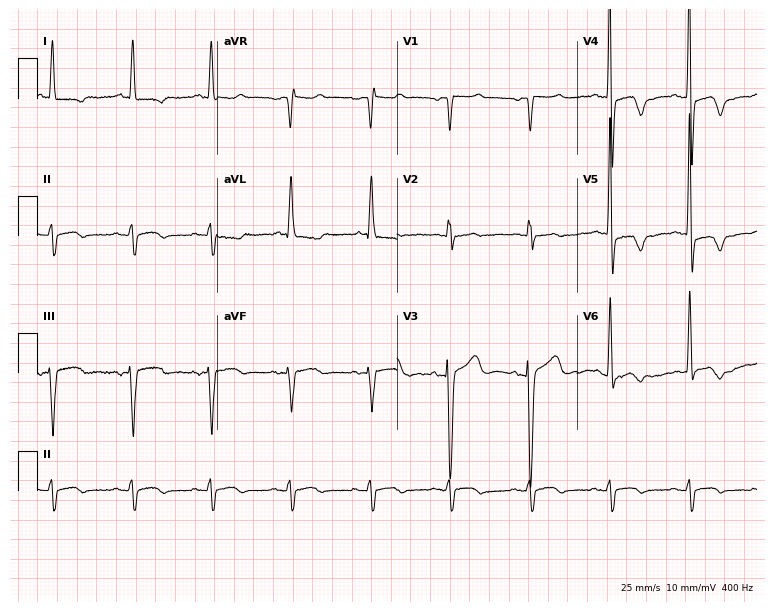
Standard 12-lead ECG recorded from an 80-year-old female (7.3-second recording at 400 Hz). None of these six findings is recorded: first-degree AV block, right bundle branch block (RBBB), left bundle branch block (LBBB), sinus bradycardia, atrial fibrillation (AF), sinus tachycardia. Other findings, if any, are not listed.